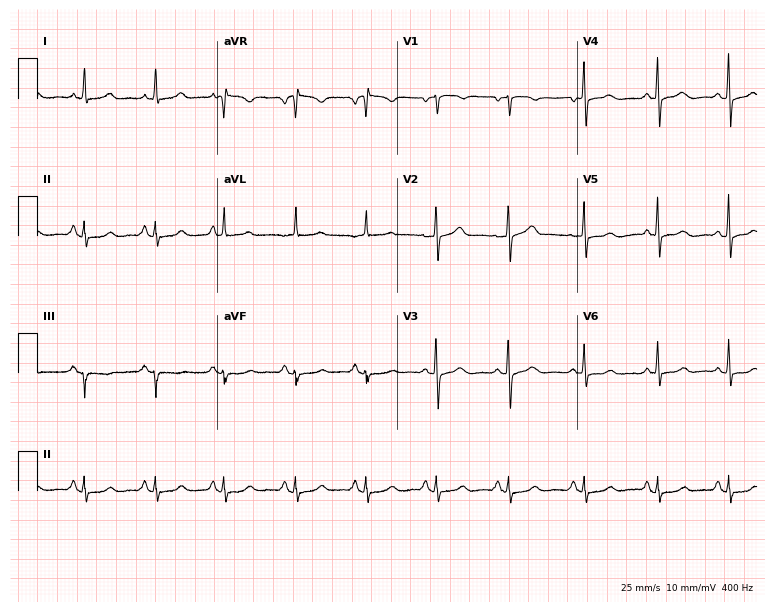
Resting 12-lead electrocardiogram. Patient: a 55-year-old female. Read as a normal ECG.